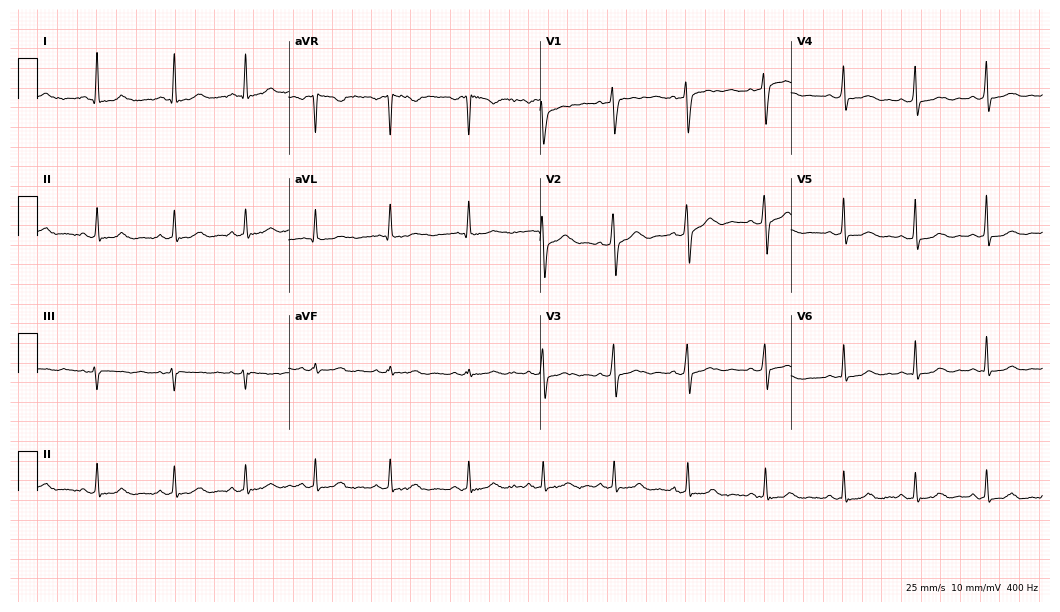
Resting 12-lead electrocardiogram (10.2-second recording at 400 Hz). Patient: a woman, 29 years old. Read as a normal ECG.